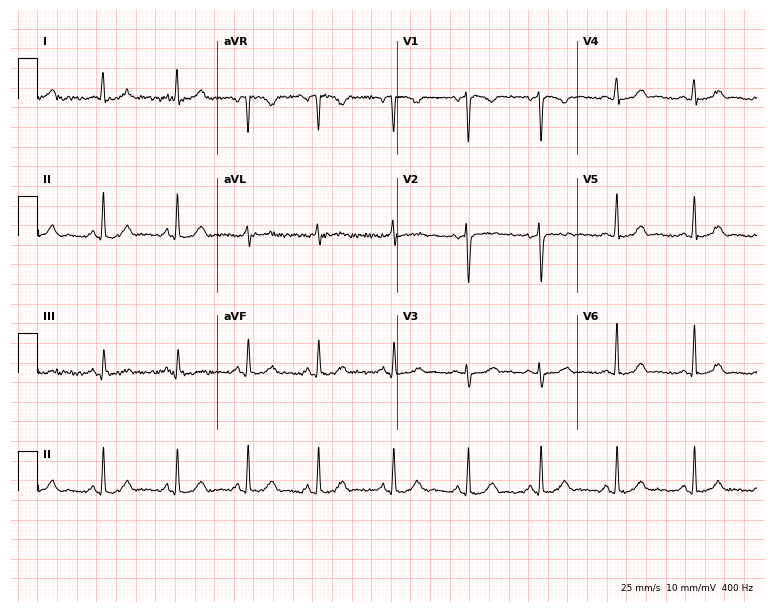
12-lead ECG (7.3-second recording at 400 Hz) from a 38-year-old female. Labelled as a normal ECG.